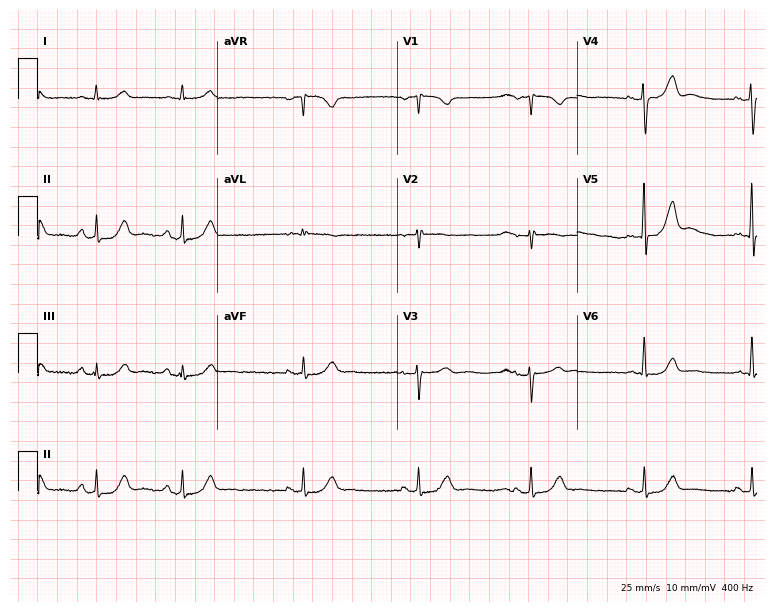
12-lead ECG from a woman, 55 years old (7.3-second recording at 400 Hz). No first-degree AV block, right bundle branch block, left bundle branch block, sinus bradycardia, atrial fibrillation or sinus tachycardia recorded for this tracing.